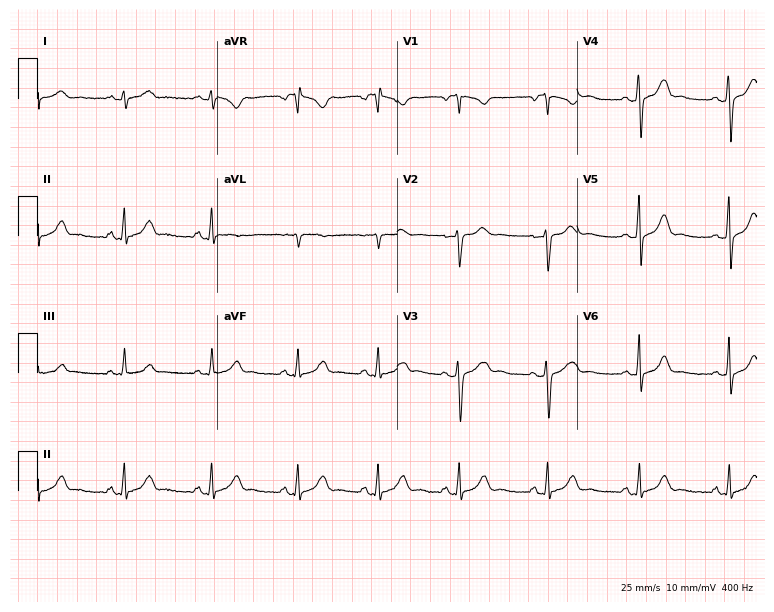
ECG (7.3-second recording at 400 Hz) — a woman, 26 years old. Labelled as a normal ECG.